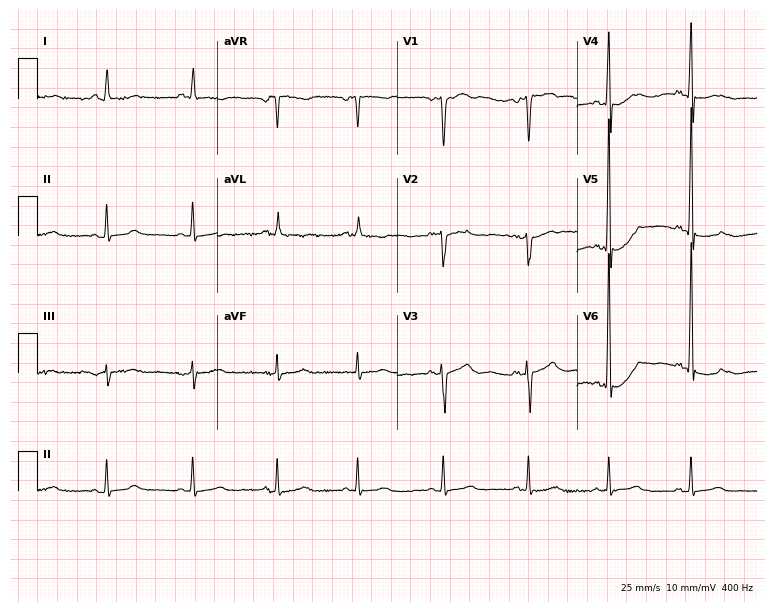
ECG — a male, 66 years old. Screened for six findings — first-degree AV block, right bundle branch block, left bundle branch block, sinus bradycardia, atrial fibrillation, sinus tachycardia — none is recorded.